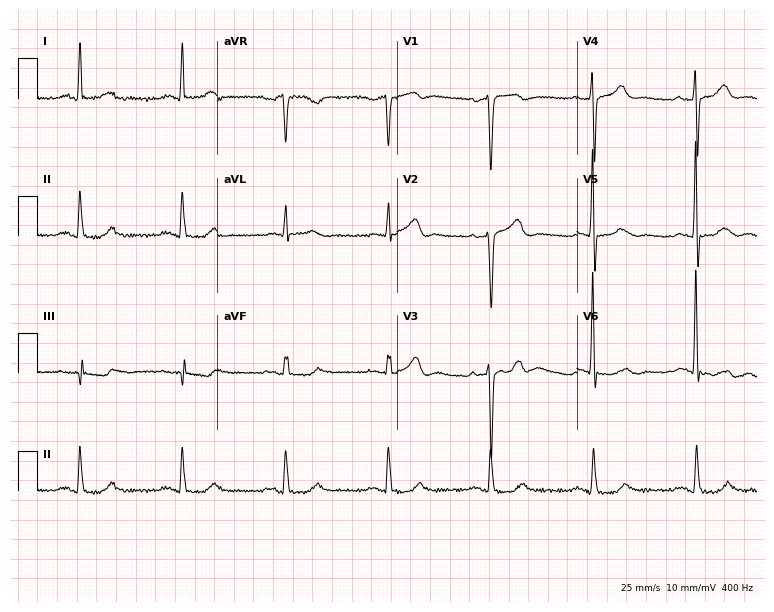
12-lead ECG from a man, 64 years old. Labelled as a normal ECG.